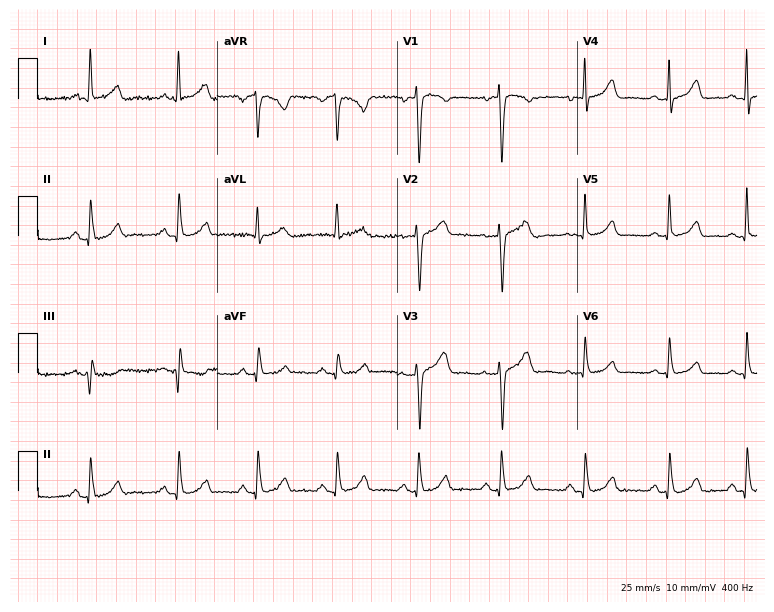
12-lead ECG from a 58-year-old female patient. Recorded interpretation: within normal limits.